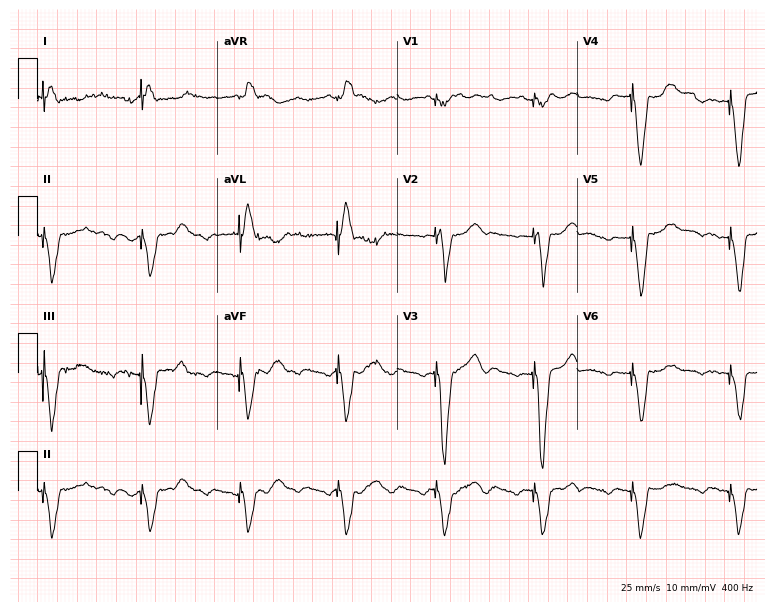
Resting 12-lead electrocardiogram. Patient: an 84-year-old male. None of these six findings is recorded: first-degree AV block, right bundle branch block (RBBB), left bundle branch block (LBBB), sinus bradycardia, atrial fibrillation (AF), sinus tachycardia. Only these six findings were labelled.